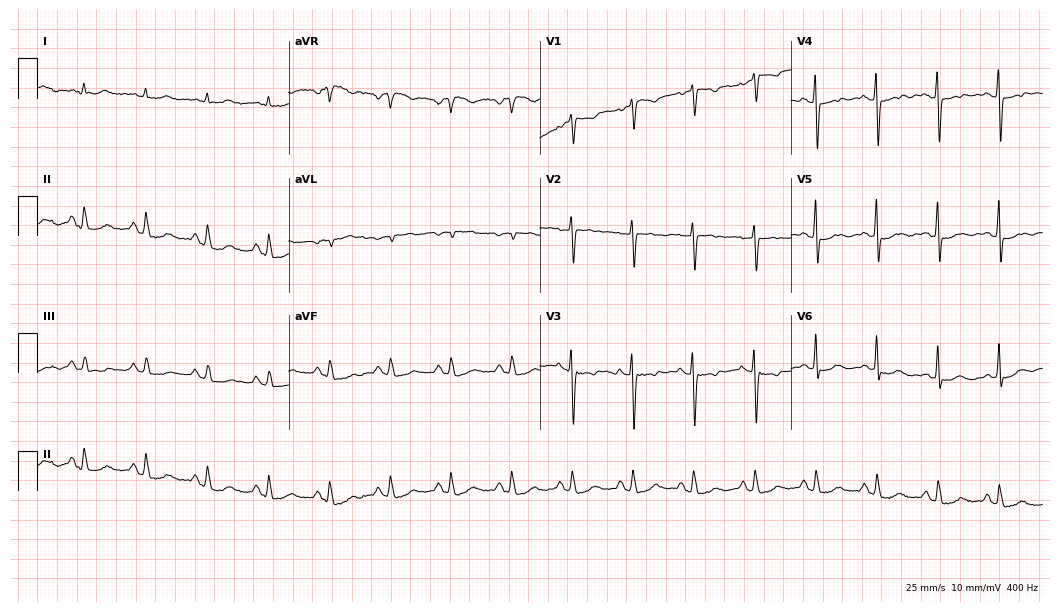
Resting 12-lead electrocardiogram (10.2-second recording at 400 Hz). Patient: an 80-year-old female. None of these six findings is recorded: first-degree AV block, right bundle branch block (RBBB), left bundle branch block (LBBB), sinus bradycardia, atrial fibrillation (AF), sinus tachycardia. Findings outside these six are not listed.